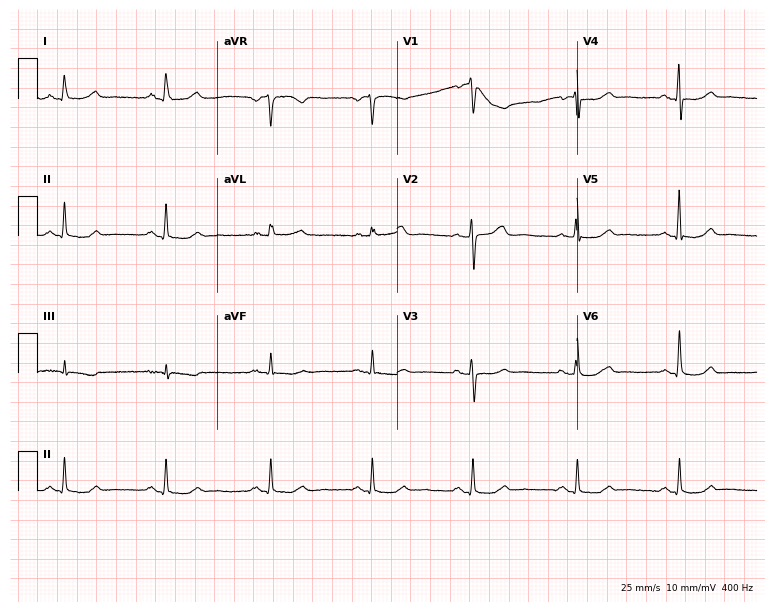
Standard 12-lead ECG recorded from a female patient, 59 years old (7.3-second recording at 400 Hz). None of these six findings is recorded: first-degree AV block, right bundle branch block (RBBB), left bundle branch block (LBBB), sinus bradycardia, atrial fibrillation (AF), sinus tachycardia.